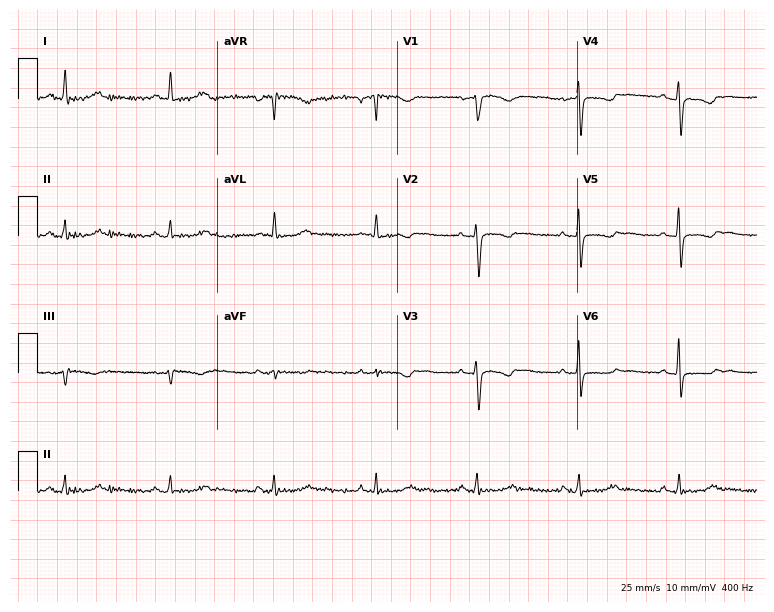
12-lead ECG from a 51-year-old woman (7.3-second recording at 400 Hz). No first-degree AV block, right bundle branch block (RBBB), left bundle branch block (LBBB), sinus bradycardia, atrial fibrillation (AF) or sinus tachycardia recorded for this tracing. Findings outside these six are not listed.